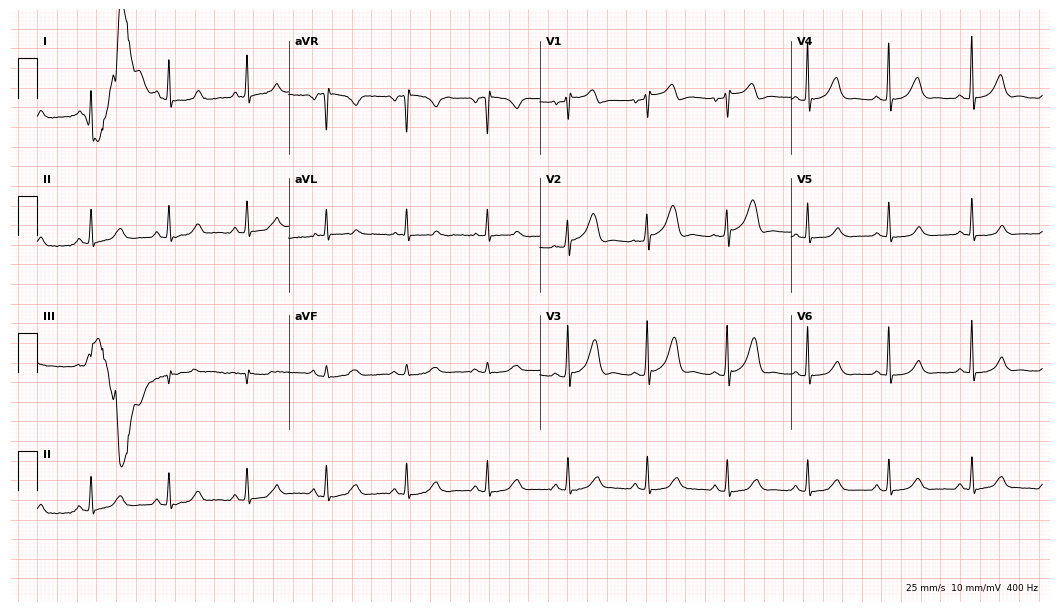
12-lead ECG (10.2-second recording at 400 Hz) from a 62-year-old male. Screened for six findings — first-degree AV block, right bundle branch block, left bundle branch block, sinus bradycardia, atrial fibrillation, sinus tachycardia — none is recorded. Other findings, if any, are not listed.